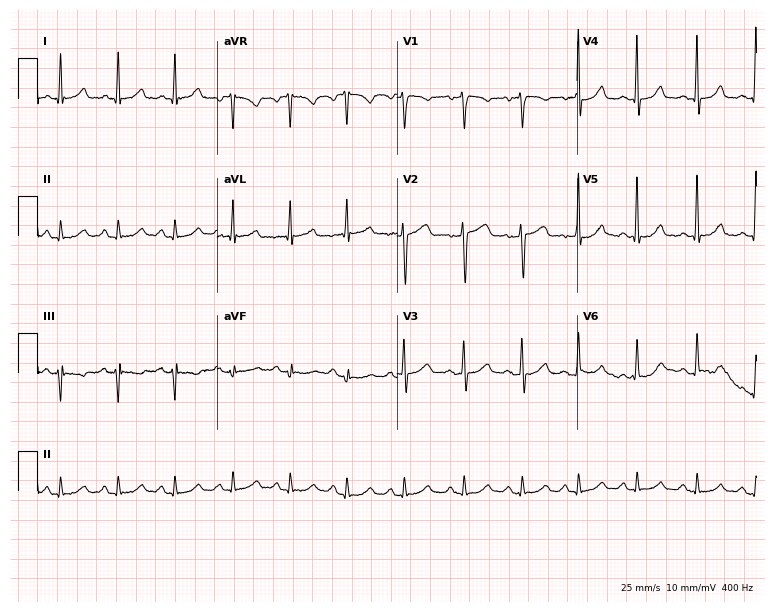
ECG (7.3-second recording at 400 Hz) — a female patient, 51 years old. Screened for six findings — first-degree AV block, right bundle branch block (RBBB), left bundle branch block (LBBB), sinus bradycardia, atrial fibrillation (AF), sinus tachycardia — none is recorded.